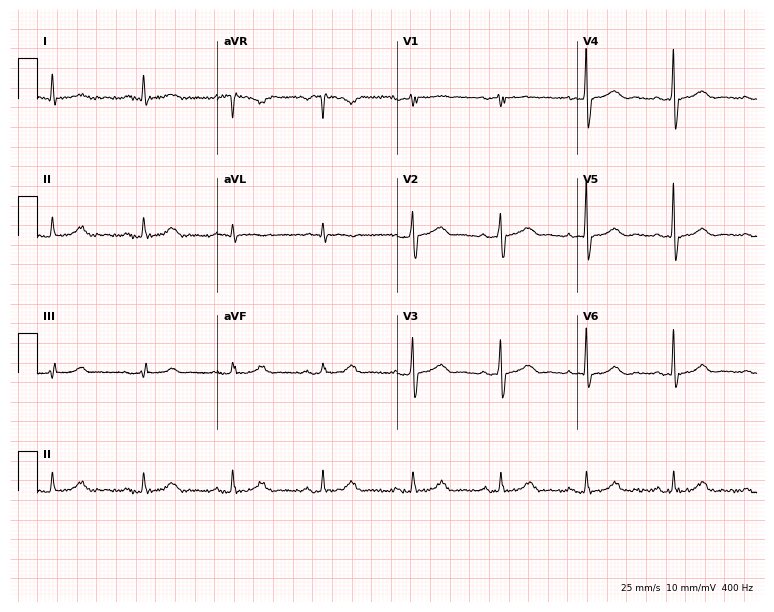
12-lead ECG (7.3-second recording at 400 Hz) from a 63-year-old male. Labelled as a normal ECG.